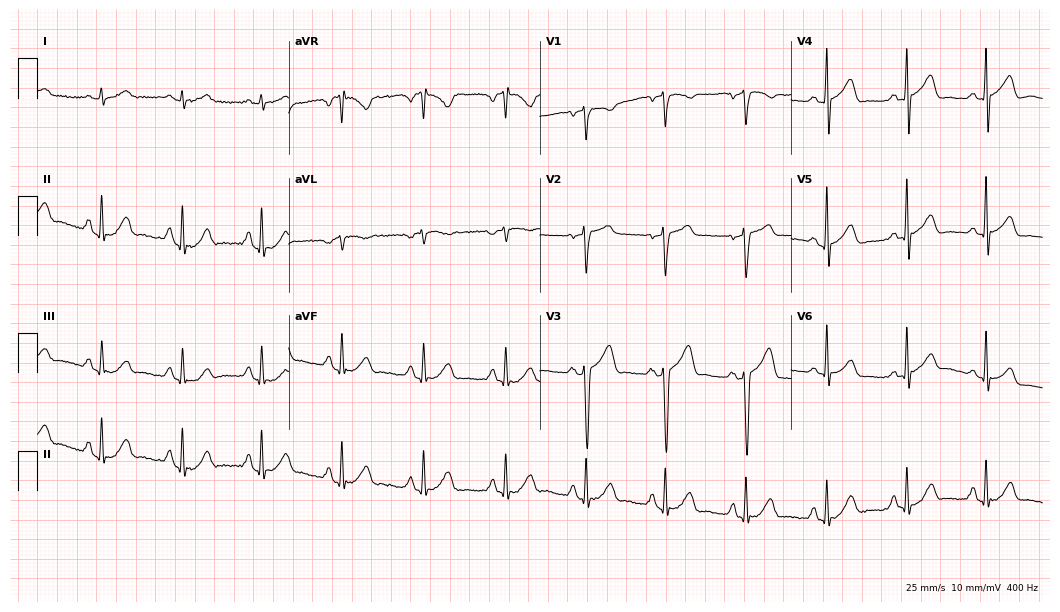
12-lead ECG from a male patient, 61 years old. No first-degree AV block, right bundle branch block (RBBB), left bundle branch block (LBBB), sinus bradycardia, atrial fibrillation (AF) or sinus tachycardia recorded for this tracing. Only these six findings were labelled.